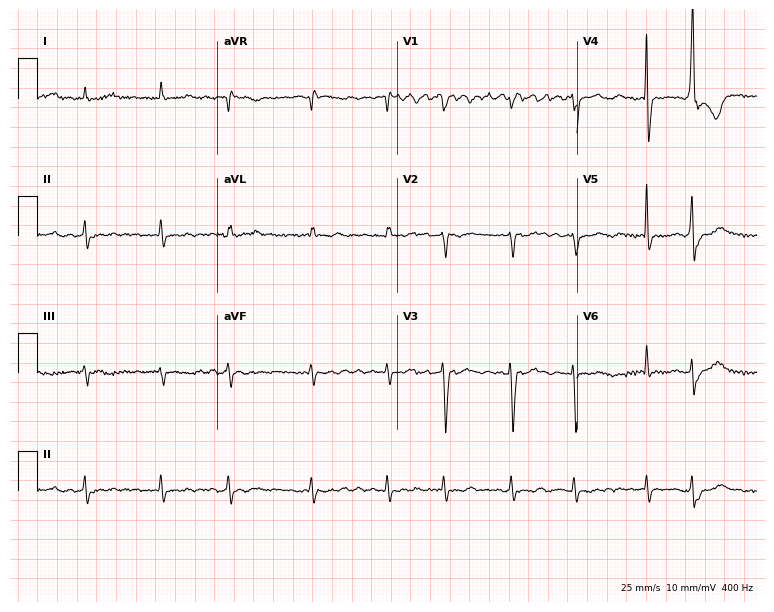
12-lead ECG from a female patient, 82 years old. Findings include atrial fibrillation.